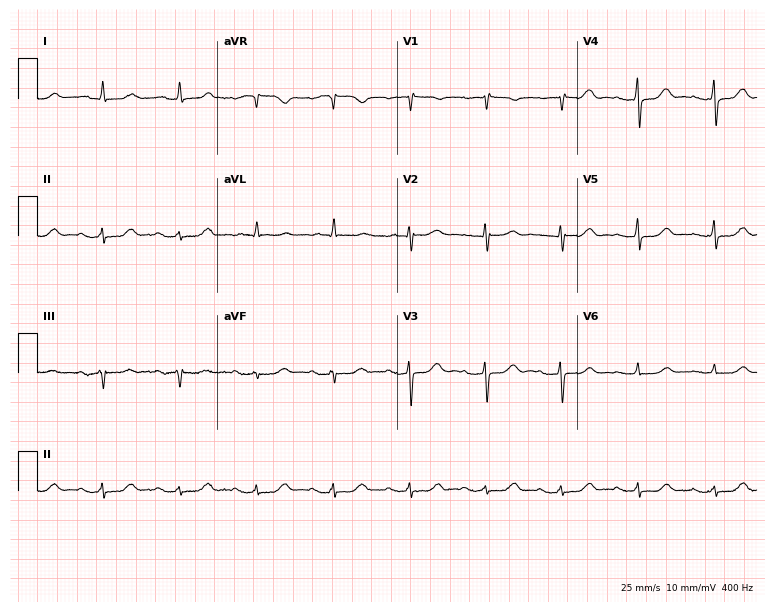
Electrocardiogram (7.3-second recording at 400 Hz), a 76-year-old woman. Overall reading on record: normal ECG.